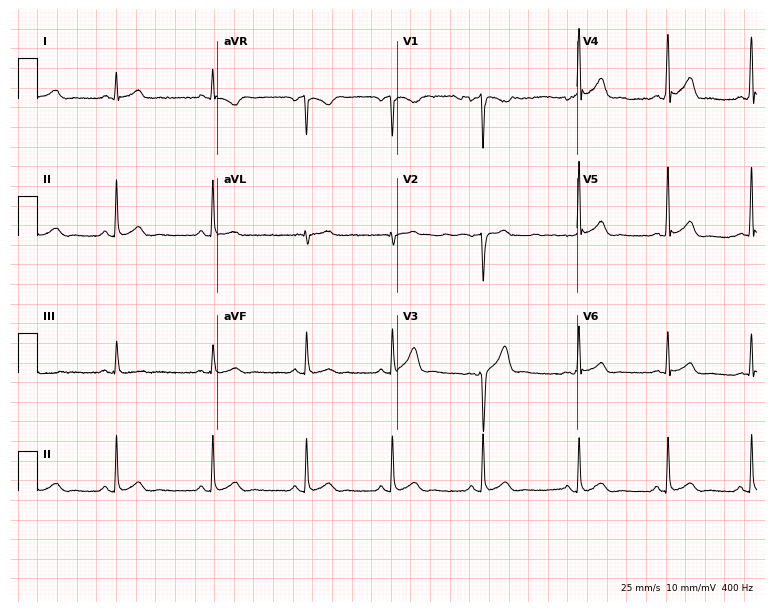
12-lead ECG from a 27-year-old male patient. No first-degree AV block, right bundle branch block, left bundle branch block, sinus bradycardia, atrial fibrillation or sinus tachycardia recorded for this tracing. Findings outside these six are not listed.